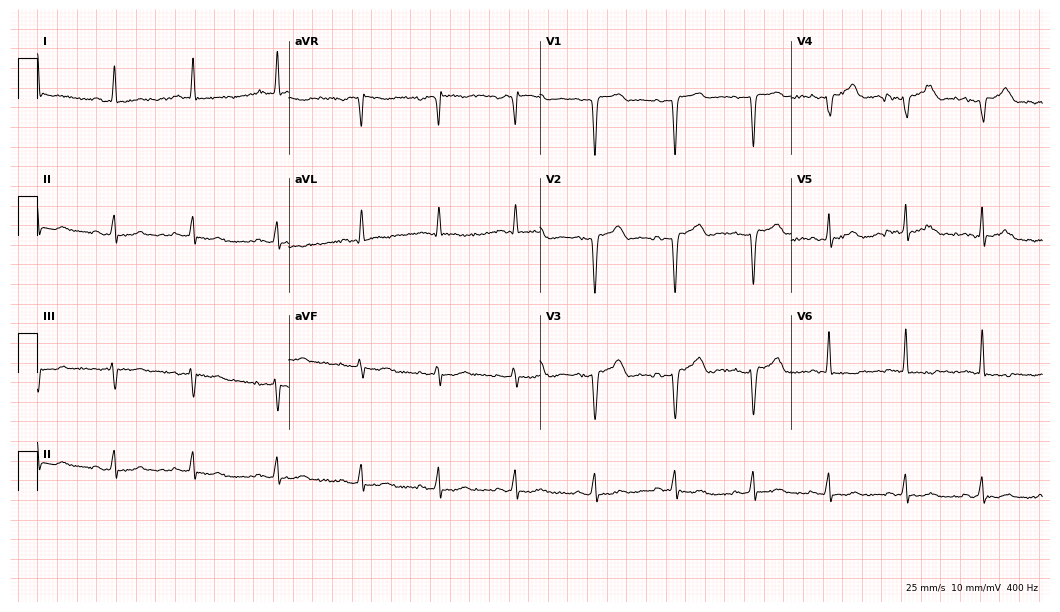
Resting 12-lead electrocardiogram. Patient: a 41-year-old female. None of these six findings is recorded: first-degree AV block, right bundle branch block, left bundle branch block, sinus bradycardia, atrial fibrillation, sinus tachycardia.